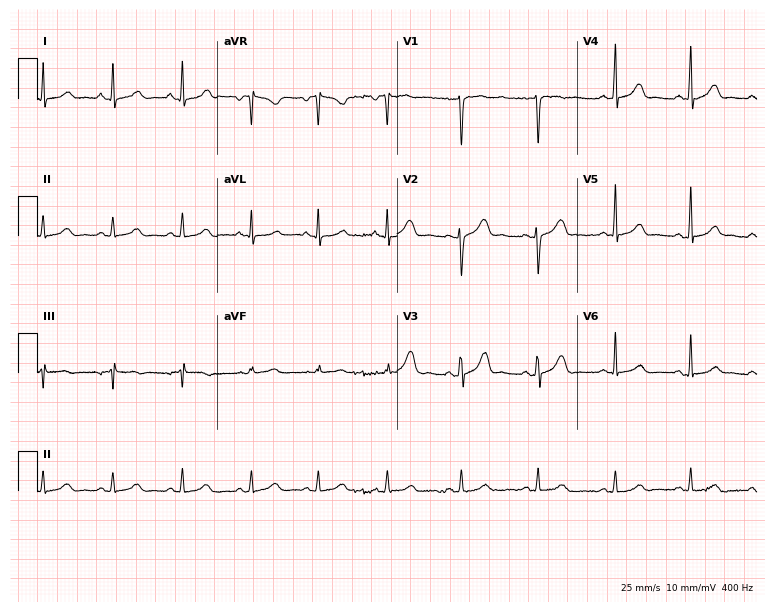
ECG (7.3-second recording at 400 Hz) — a woman, 43 years old. Labelled as a normal ECG.